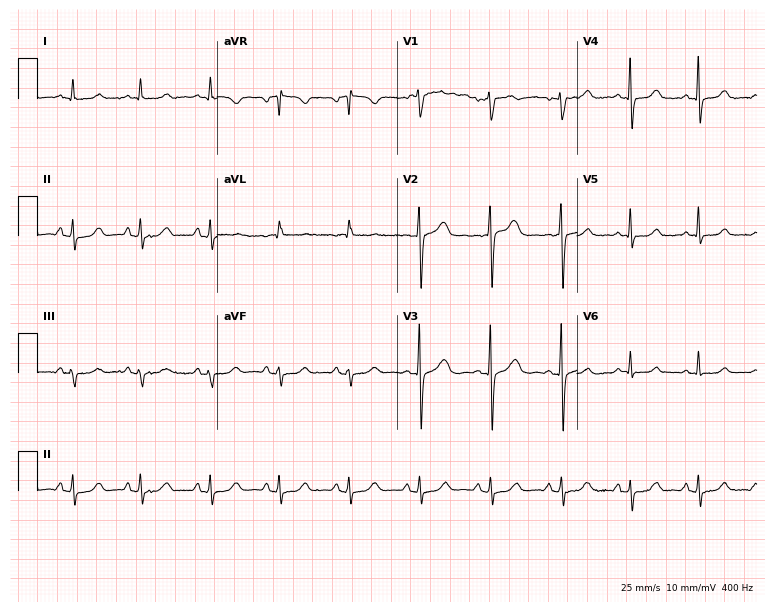
Resting 12-lead electrocardiogram (7.3-second recording at 400 Hz). Patient: a 43-year-old female. Read as a normal ECG.